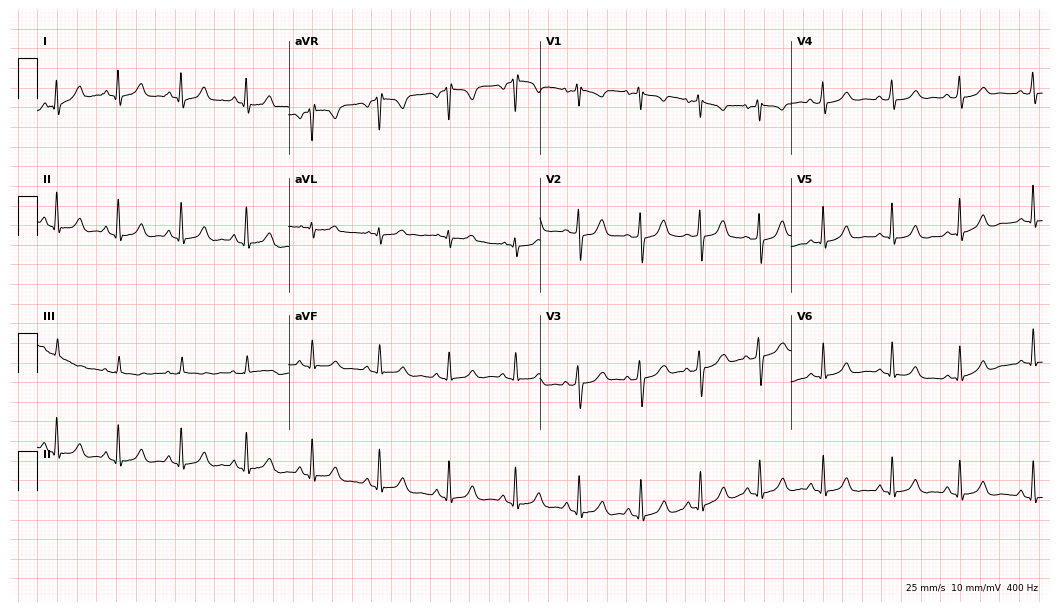
Resting 12-lead electrocardiogram. Patient: a 30-year-old woman. None of these six findings is recorded: first-degree AV block, right bundle branch block, left bundle branch block, sinus bradycardia, atrial fibrillation, sinus tachycardia.